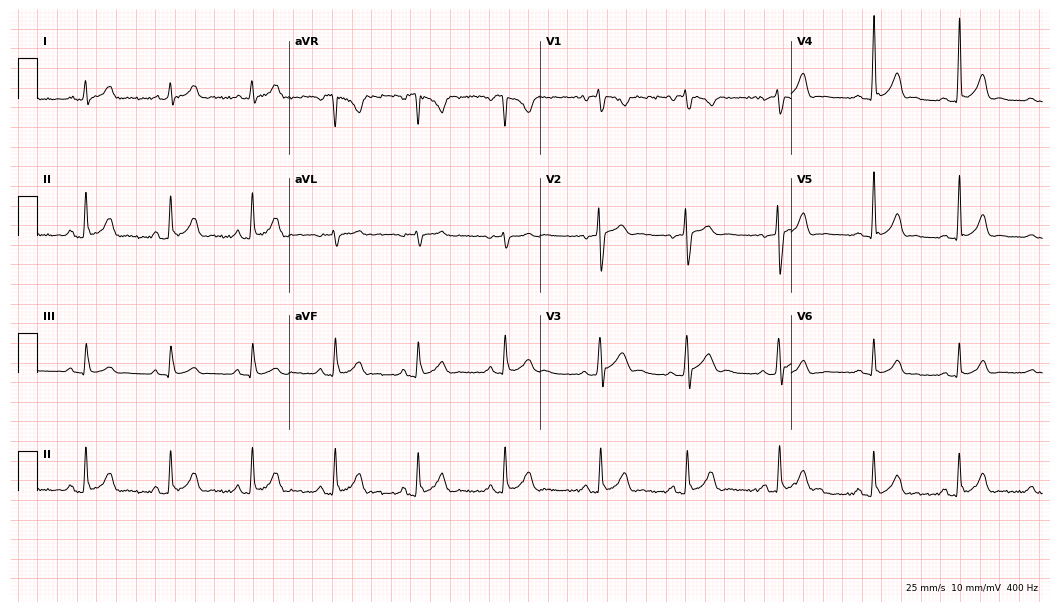
Electrocardiogram (10.2-second recording at 400 Hz), a 17-year-old man. Overall reading on record: normal ECG.